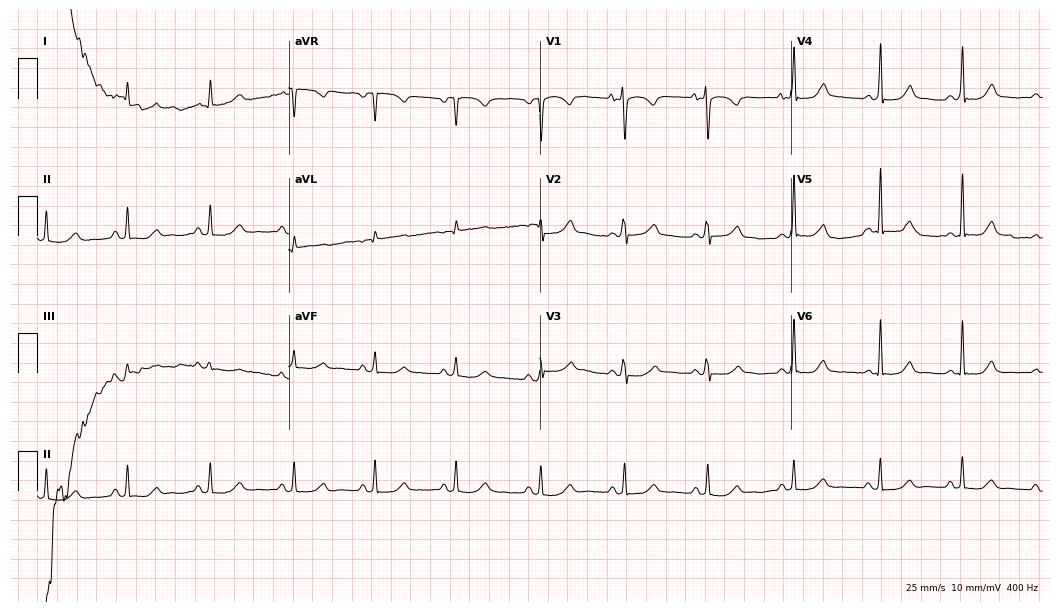
Resting 12-lead electrocardiogram (10.2-second recording at 400 Hz). Patient: a woman, 55 years old. Read as a normal ECG.